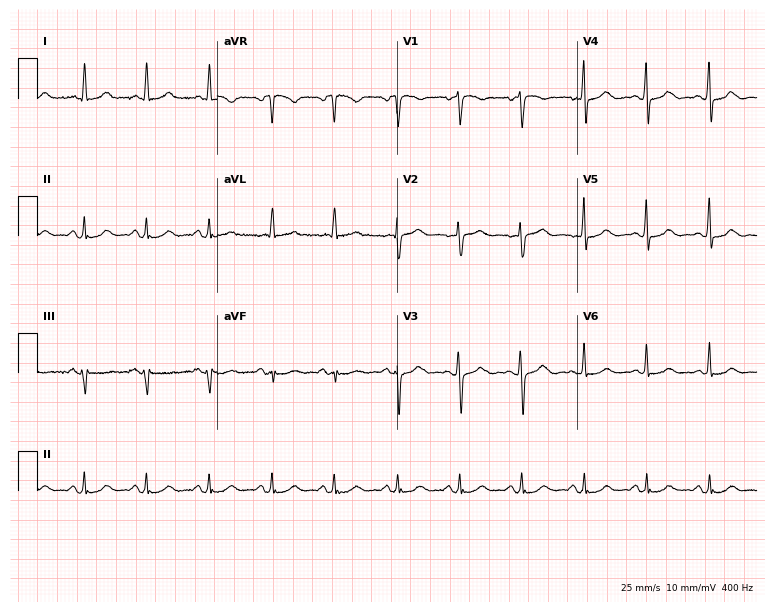
Electrocardiogram, a 65-year-old woman. Of the six screened findings (first-degree AV block, right bundle branch block (RBBB), left bundle branch block (LBBB), sinus bradycardia, atrial fibrillation (AF), sinus tachycardia), none is recorded.